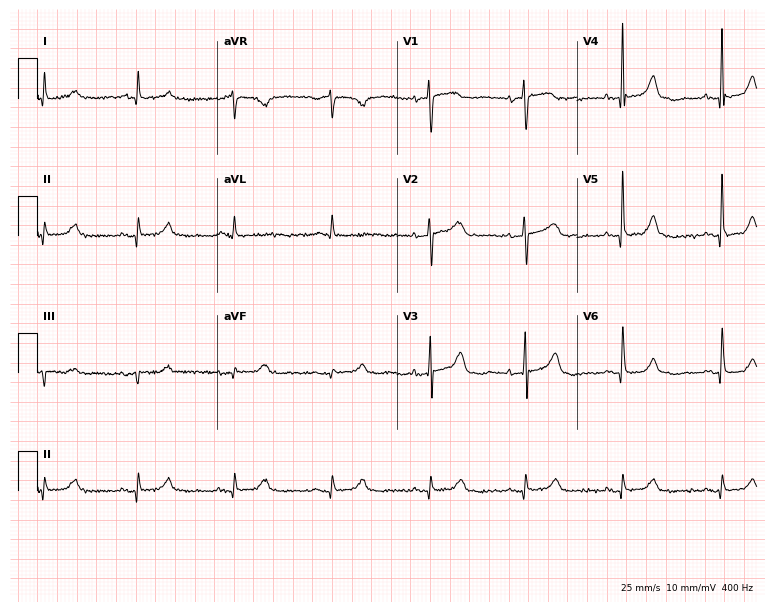
ECG — a 69-year-old female. Labelled as a normal ECG.